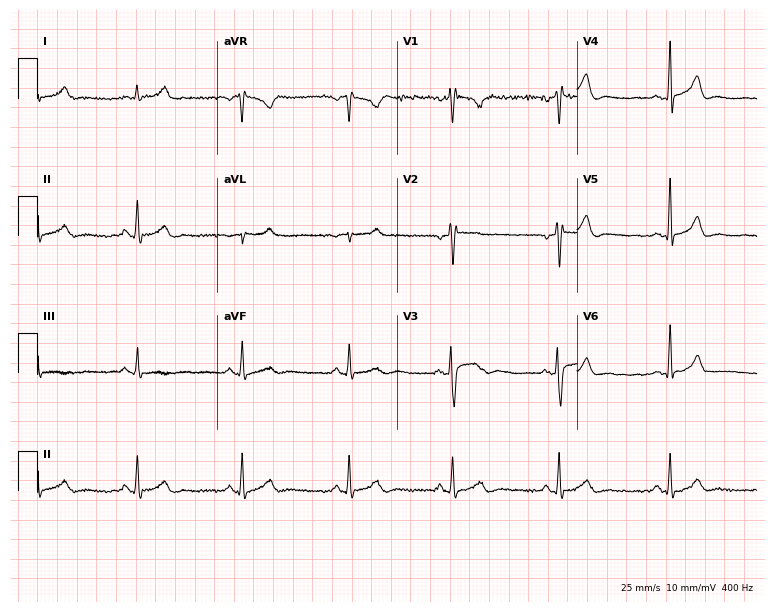
ECG (7.3-second recording at 400 Hz) — a 43-year-old male patient. Labelled as a normal ECG.